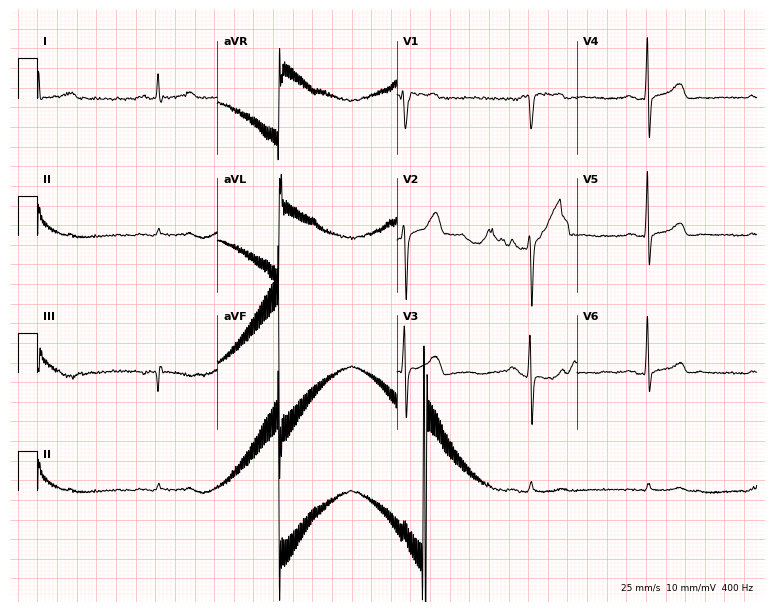
Electrocardiogram, a male, 68 years old. Interpretation includes sinus bradycardia (a sinus rate of 50 beats per minute or less).